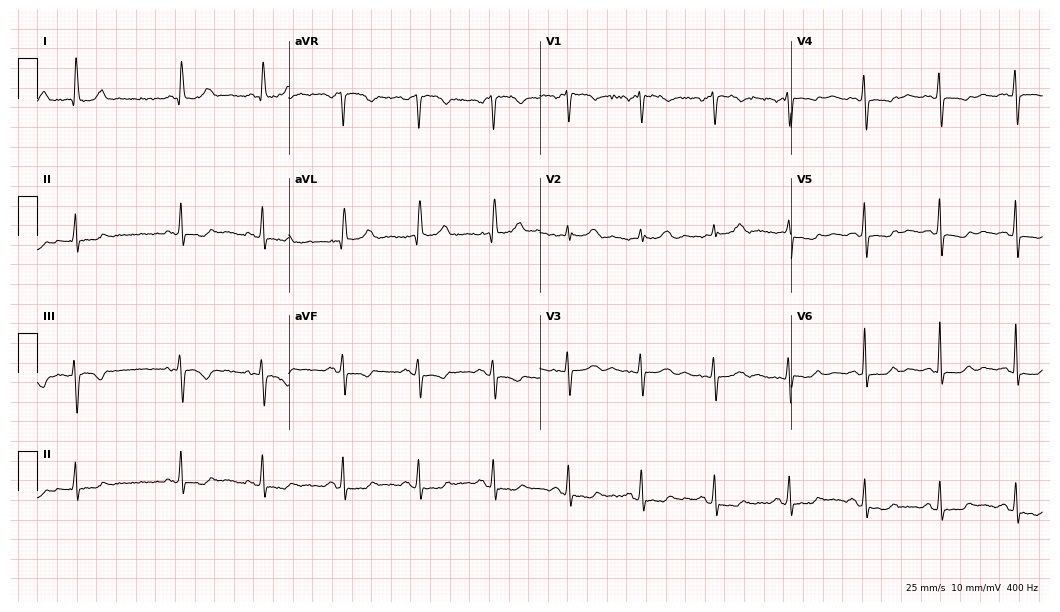
12-lead ECG from a 70-year-old female patient. Screened for six findings — first-degree AV block, right bundle branch block, left bundle branch block, sinus bradycardia, atrial fibrillation, sinus tachycardia — none is recorded. Other findings, if any, are not listed.